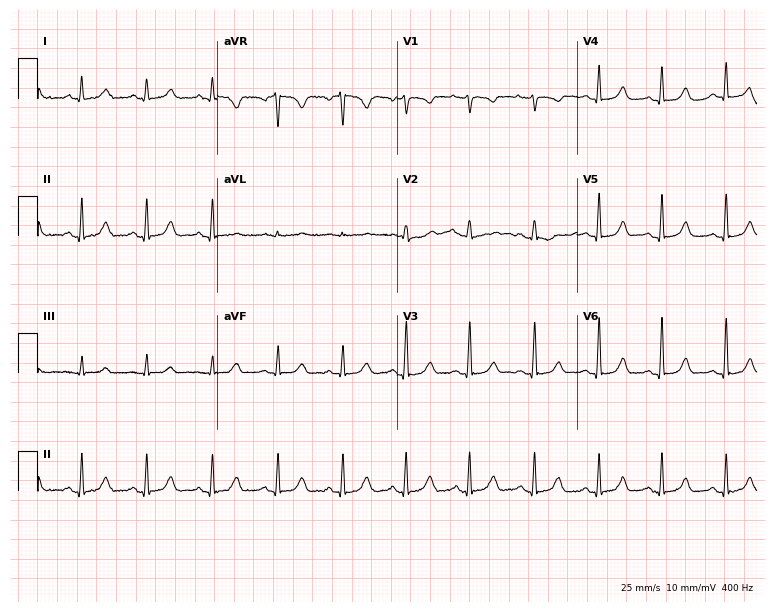
12-lead ECG from a woman, 42 years old. No first-degree AV block, right bundle branch block (RBBB), left bundle branch block (LBBB), sinus bradycardia, atrial fibrillation (AF) or sinus tachycardia recorded for this tracing. Findings outside these six are not listed.